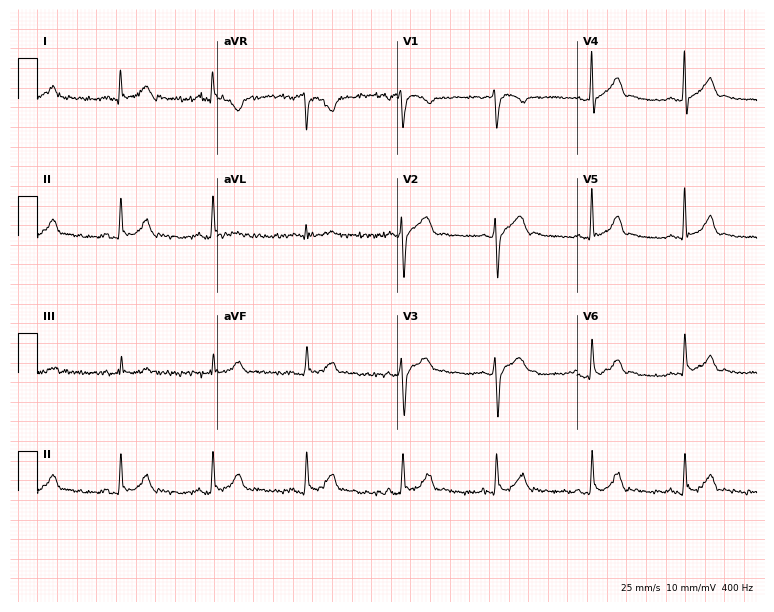
ECG (7.3-second recording at 400 Hz) — a 36-year-old male patient. Labelled as a normal ECG.